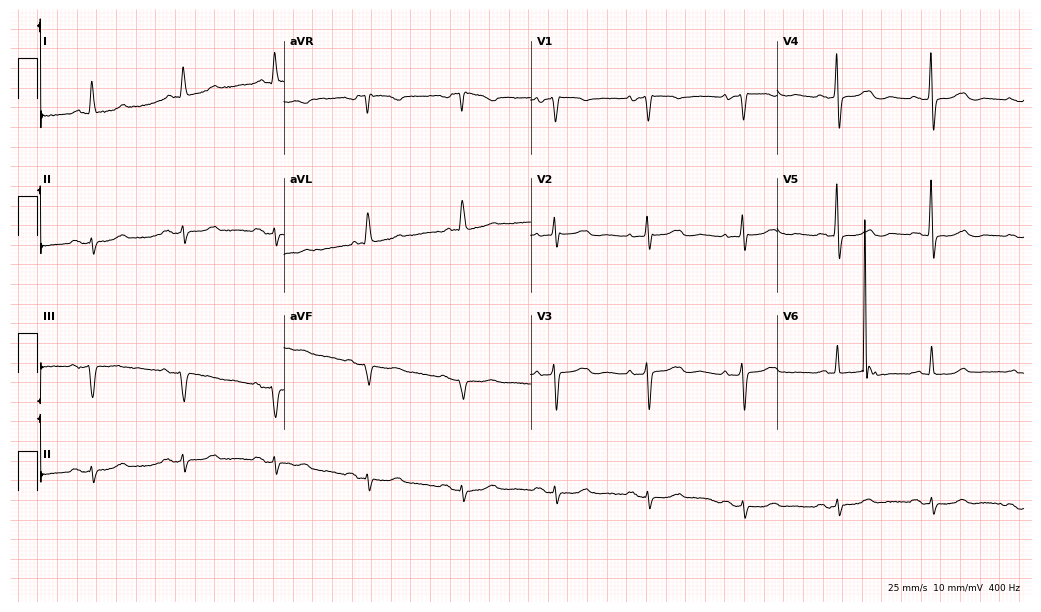
12-lead ECG (10.1-second recording at 400 Hz) from a female, 74 years old. Screened for six findings — first-degree AV block, right bundle branch block, left bundle branch block, sinus bradycardia, atrial fibrillation, sinus tachycardia — none is recorded.